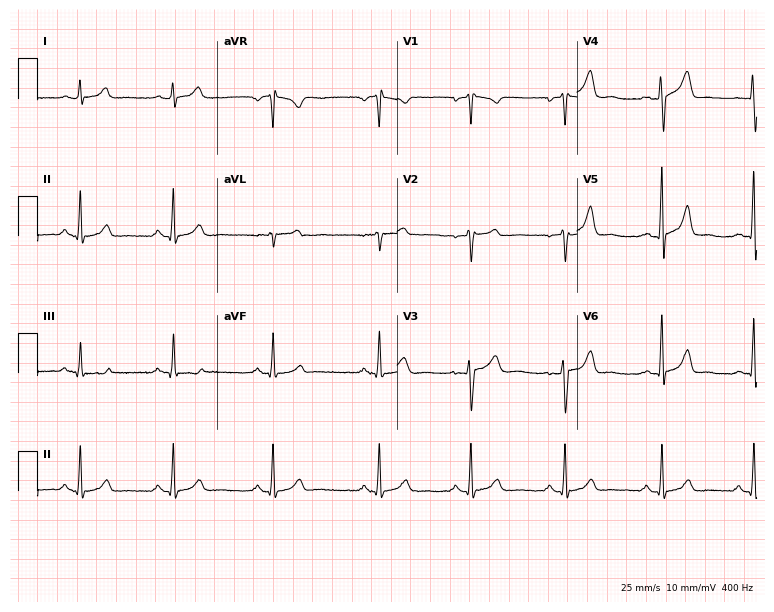
Resting 12-lead electrocardiogram (7.3-second recording at 400 Hz). Patient: a female, 47 years old. Read as a normal ECG.